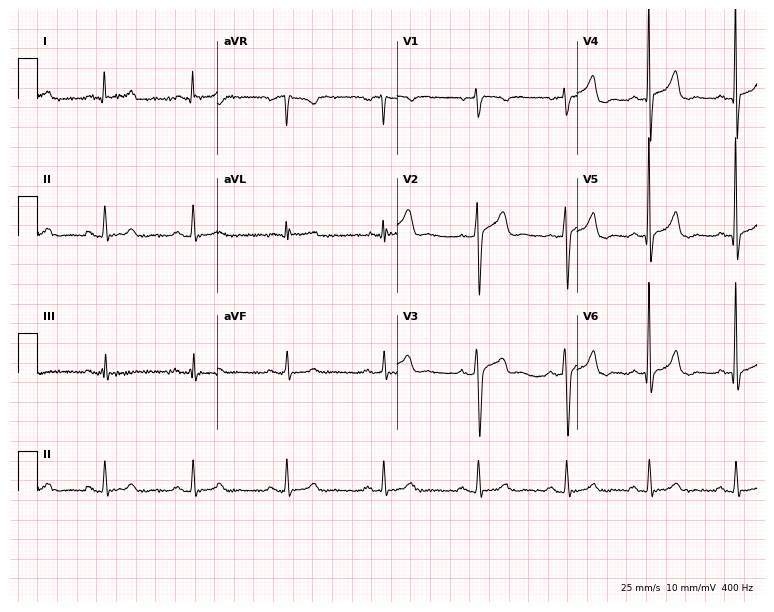
ECG — a 49-year-old male patient. Labelled as a normal ECG.